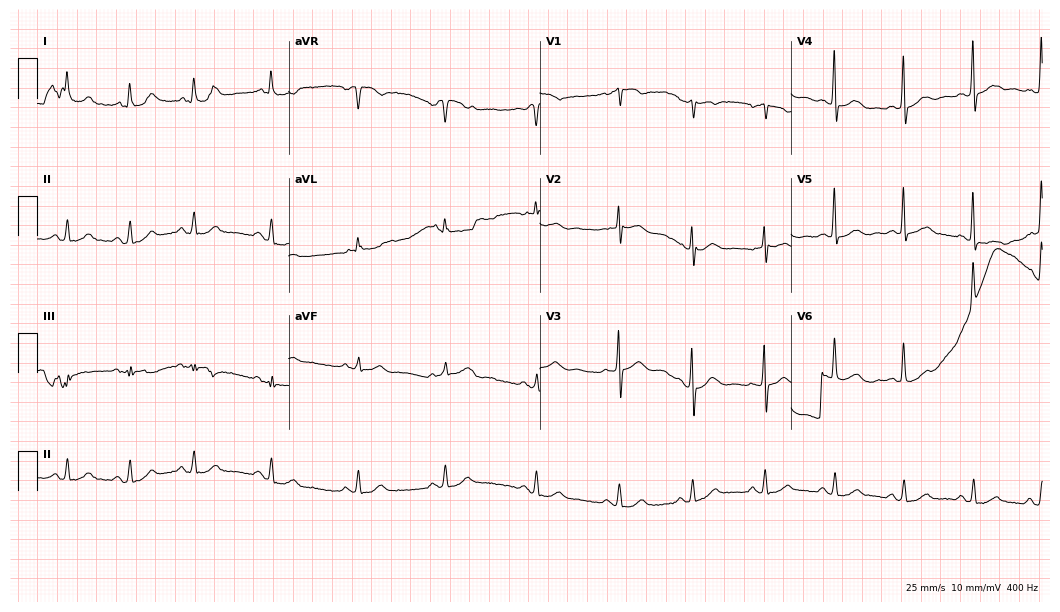
Electrocardiogram, a man, 64 years old. Of the six screened findings (first-degree AV block, right bundle branch block (RBBB), left bundle branch block (LBBB), sinus bradycardia, atrial fibrillation (AF), sinus tachycardia), none is recorded.